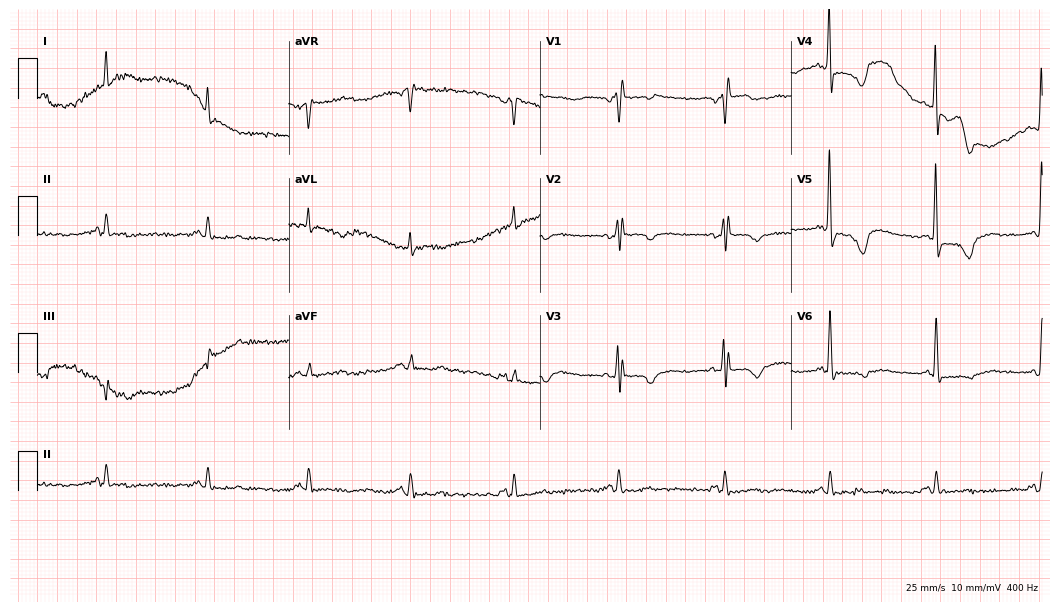
ECG — an 81-year-old man. Screened for six findings — first-degree AV block, right bundle branch block, left bundle branch block, sinus bradycardia, atrial fibrillation, sinus tachycardia — none is recorded. Only these six findings were labelled.